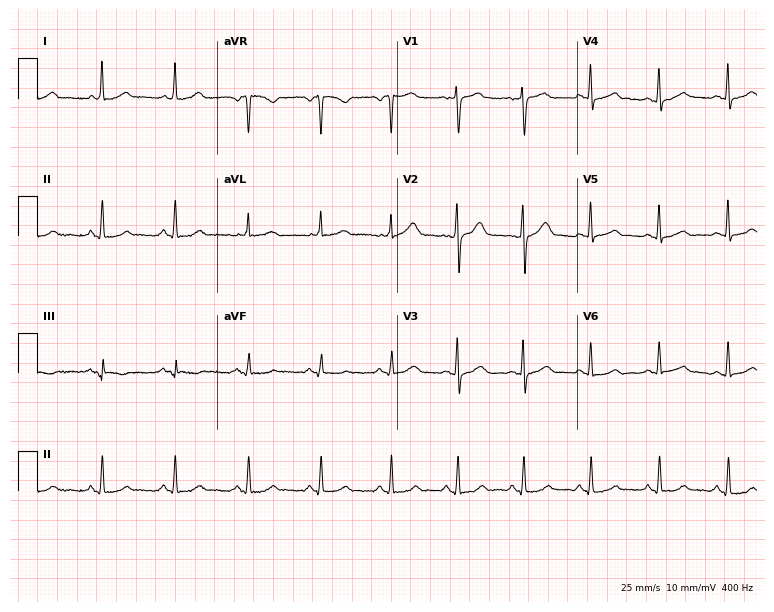
12-lead ECG from a 45-year-old woman (7.3-second recording at 400 Hz). Recorded interpretation: within normal limits.